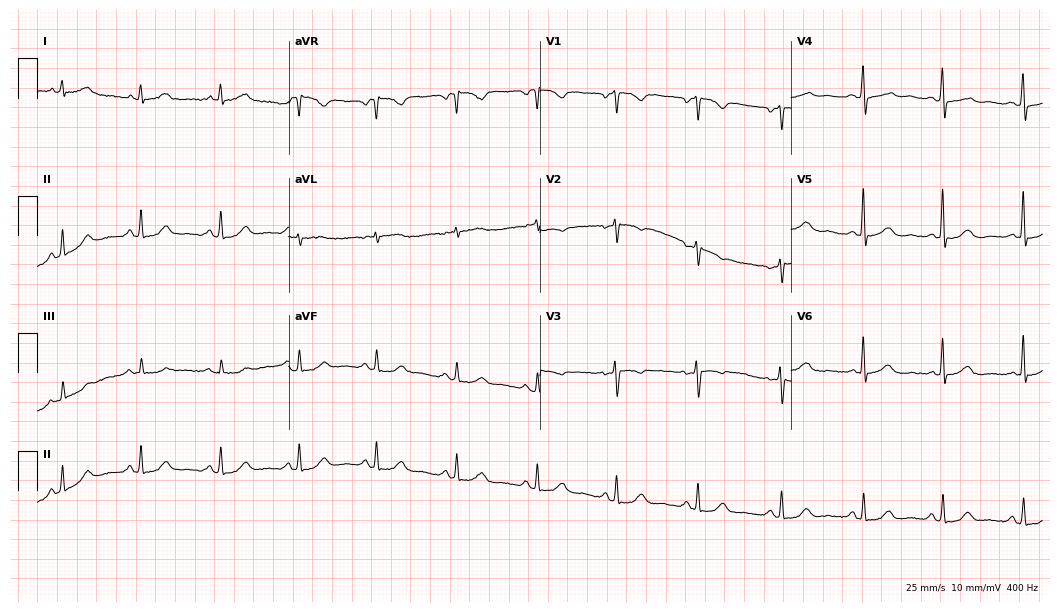
Standard 12-lead ECG recorded from a 54-year-old female patient. Read as a normal ECG.